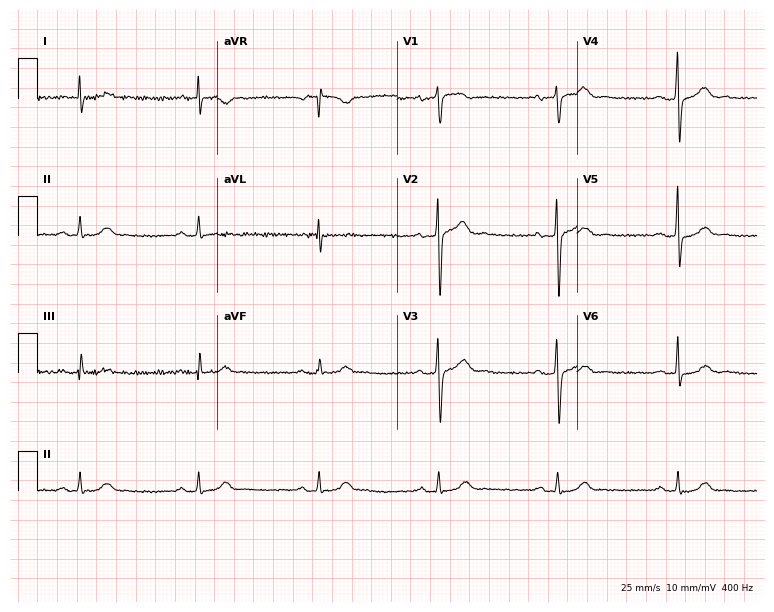
Electrocardiogram (7.3-second recording at 400 Hz), a 57-year-old male patient. Interpretation includes sinus bradycardia (a sinus rate of 50 beats per minute or less).